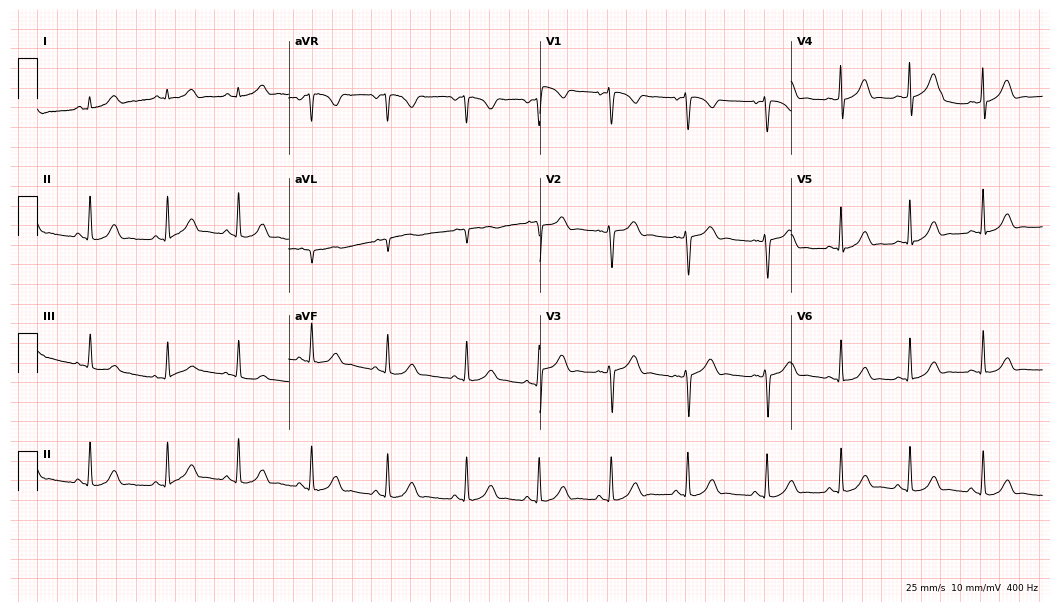
12-lead ECG from an 18-year-old woman. Labelled as a normal ECG.